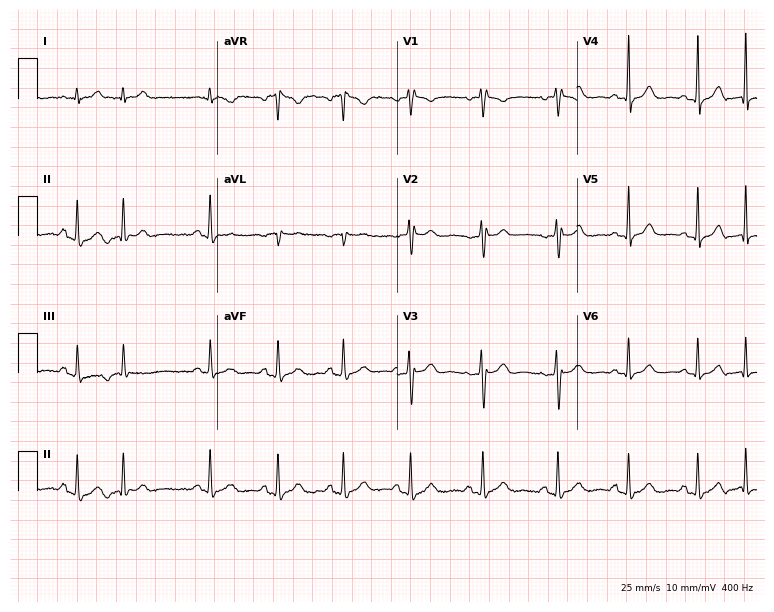
12-lead ECG from a 26-year-old female patient (7.3-second recording at 400 Hz). No first-degree AV block, right bundle branch block (RBBB), left bundle branch block (LBBB), sinus bradycardia, atrial fibrillation (AF) or sinus tachycardia recorded for this tracing.